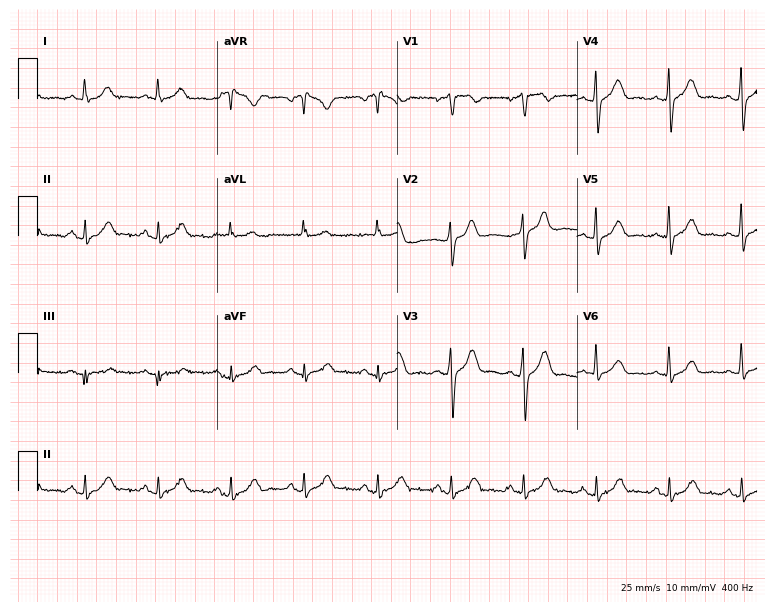
Electrocardiogram (7.3-second recording at 400 Hz), a 54-year-old man. Overall reading on record: normal ECG.